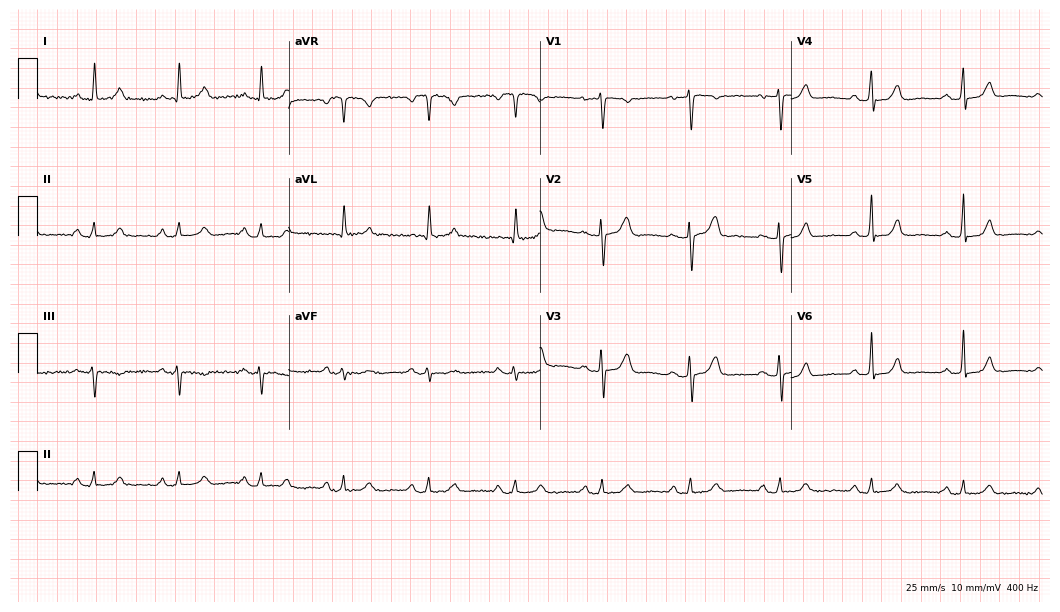
Resting 12-lead electrocardiogram. Patient: a female, 49 years old. None of these six findings is recorded: first-degree AV block, right bundle branch block (RBBB), left bundle branch block (LBBB), sinus bradycardia, atrial fibrillation (AF), sinus tachycardia.